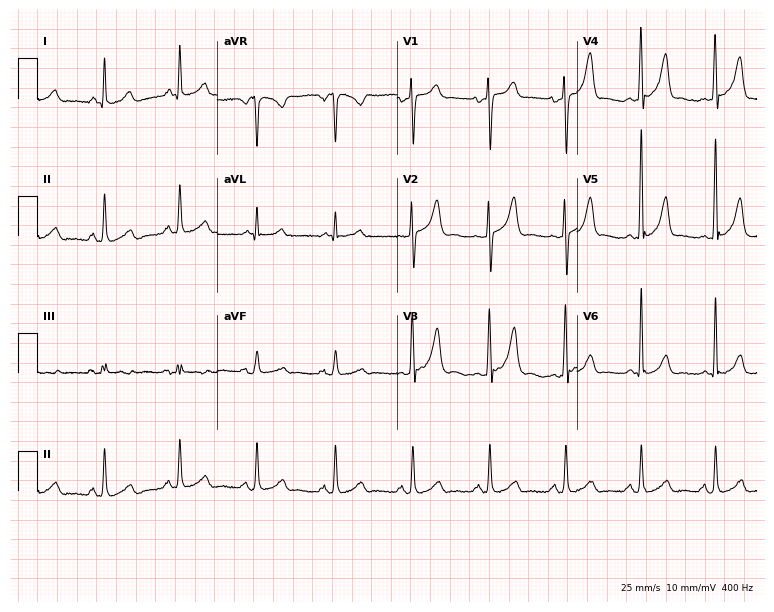
ECG — a man, 47 years old. Labelled as a normal ECG.